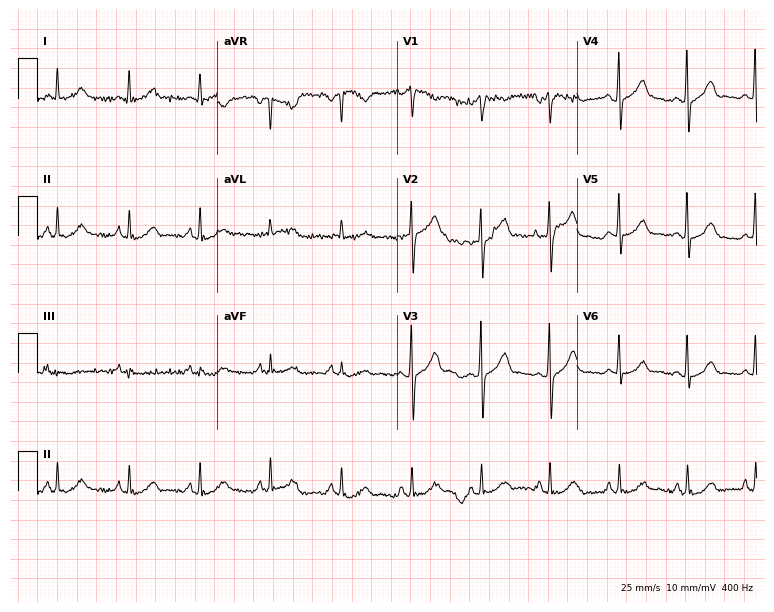
12-lead ECG from a 40-year-old male patient (7.3-second recording at 400 Hz). Recorded interpretation: within normal limits.